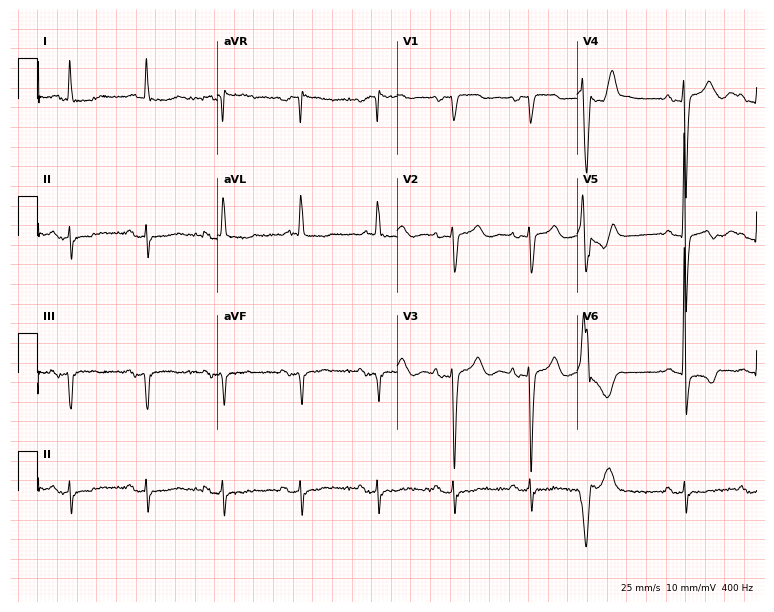
12-lead ECG from a 74-year-old female patient (7.3-second recording at 400 Hz). No first-degree AV block, right bundle branch block (RBBB), left bundle branch block (LBBB), sinus bradycardia, atrial fibrillation (AF) or sinus tachycardia recorded for this tracing. Other findings, if any, are not listed.